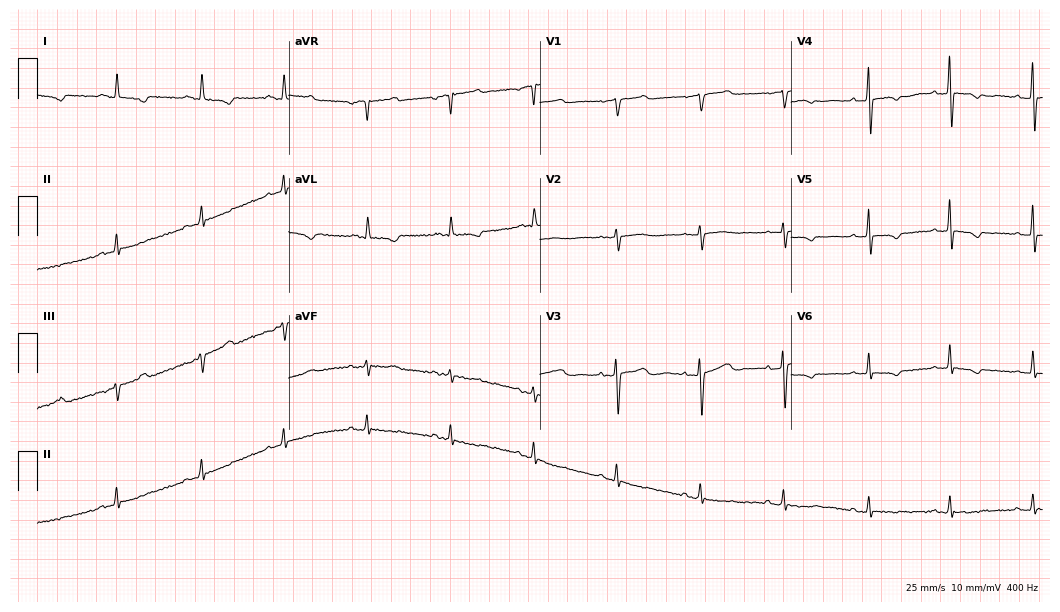
ECG — a woman, 84 years old. Screened for six findings — first-degree AV block, right bundle branch block (RBBB), left bundle branch block (LBBB), sinus bradycardia, atrial fibrillation (AF), sinus tachycardia — none is recorded.